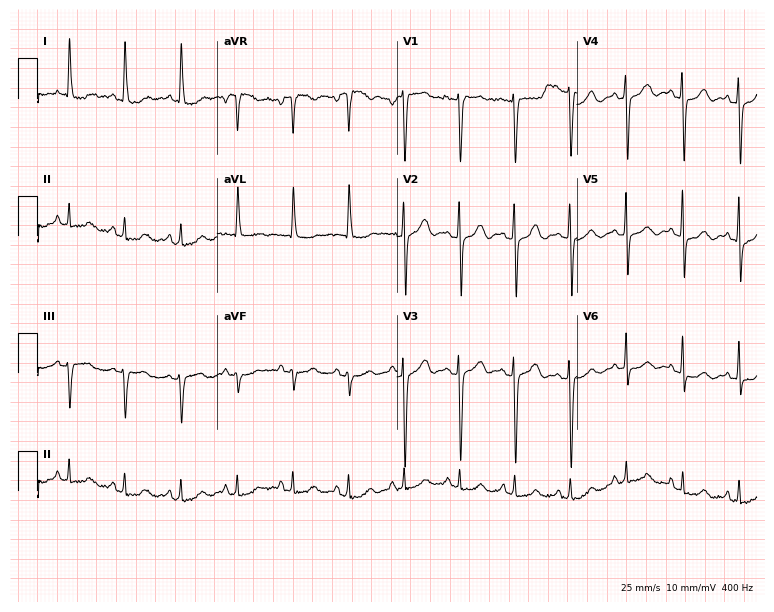
Resting 12-lead electrocardiogram (7.3-second recording at 400 Hz). Patient: a woman, 60 years old. Read as a normal ECG.